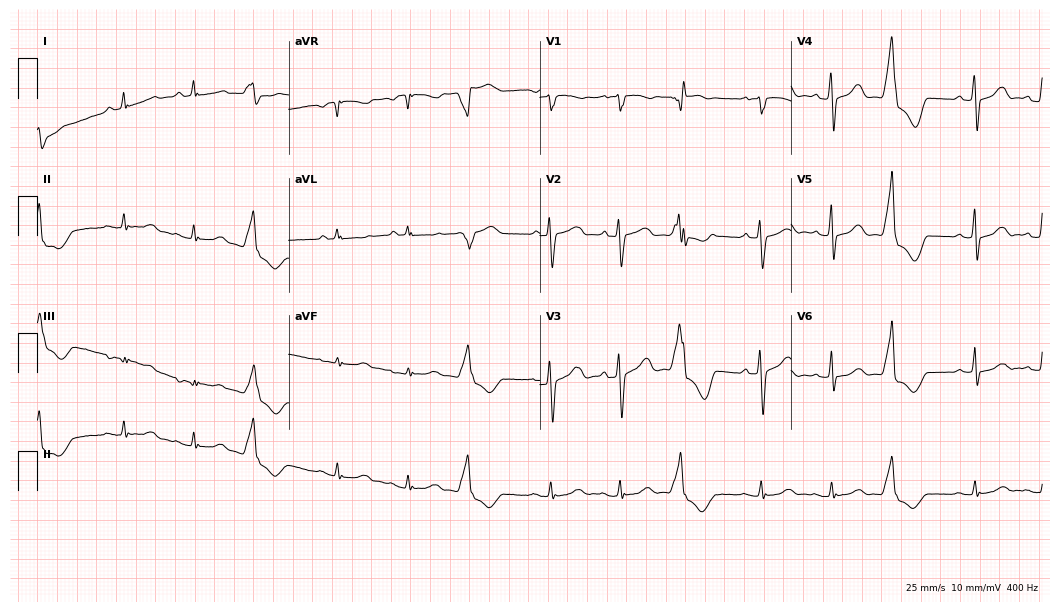
Standard 12-lead ECG recorded from a male patient, 80 years old. Read as a normal ECG.